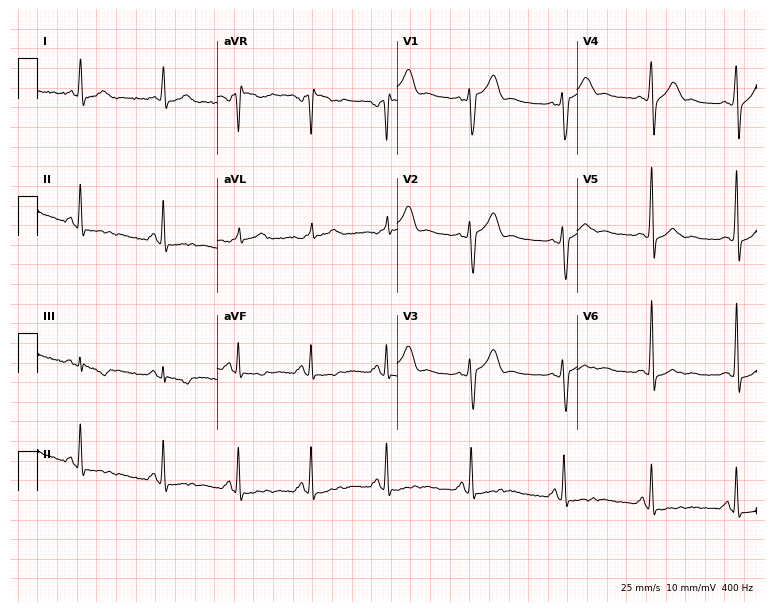
ECG — a 31-year-old male patient. Screened for six findings — first-degree AV block, right bundle branch block, left bundle branch block, sinus bradycardia, atrial fibrillation, sinus tachycardia — none is recorded. Other findings, if any, are not listed.